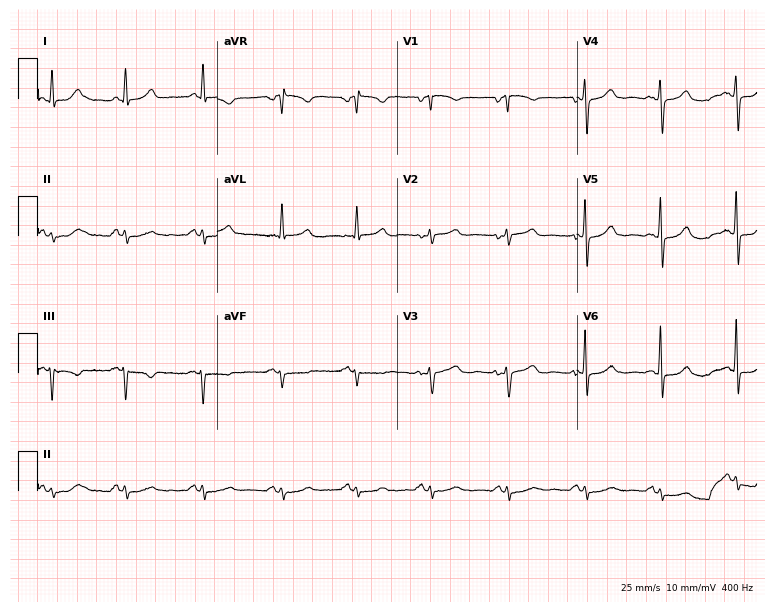
Resting 12-lead electrocardiogram (7.3-second recording at 400 Hz). Patient: a 52-year-old woman. None of these six findings is recorded: first-degree AV block, right bundle branch block, left bundle branch block, sinus bradycardia, atrial fibrillation, sinus tachycardia.